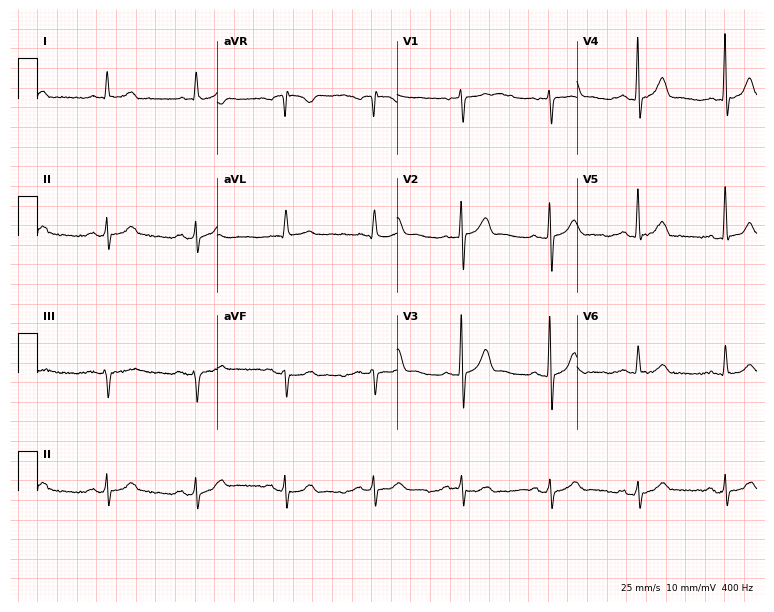
Standard 12-lead ECG recorded from a man, 73 years old. None of these six findings is recorded: first-degree AV block, right bundle branch block, left bundle branch block, sinus bradycardia, atrial fibrillation, sinus tachycardia. Only these six findings were labelled.